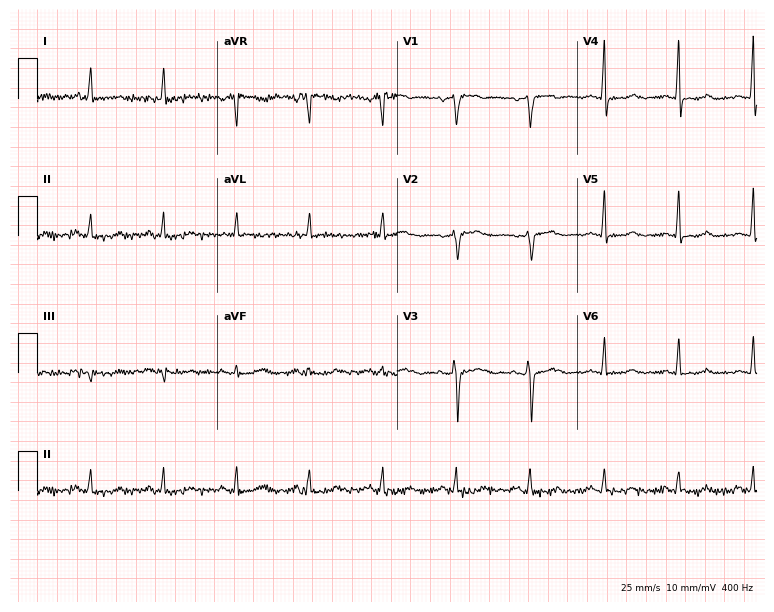
ECG — a 57-year-old female patient. Screened for six findings — first-degree AV block, right bundle branch block (RBBB), left bundle branch block (LBBB), sinus bradycardia, atrial fibrillation (AF), sinus tachycardia — none is recorded. Other findings, if any, are not listed.